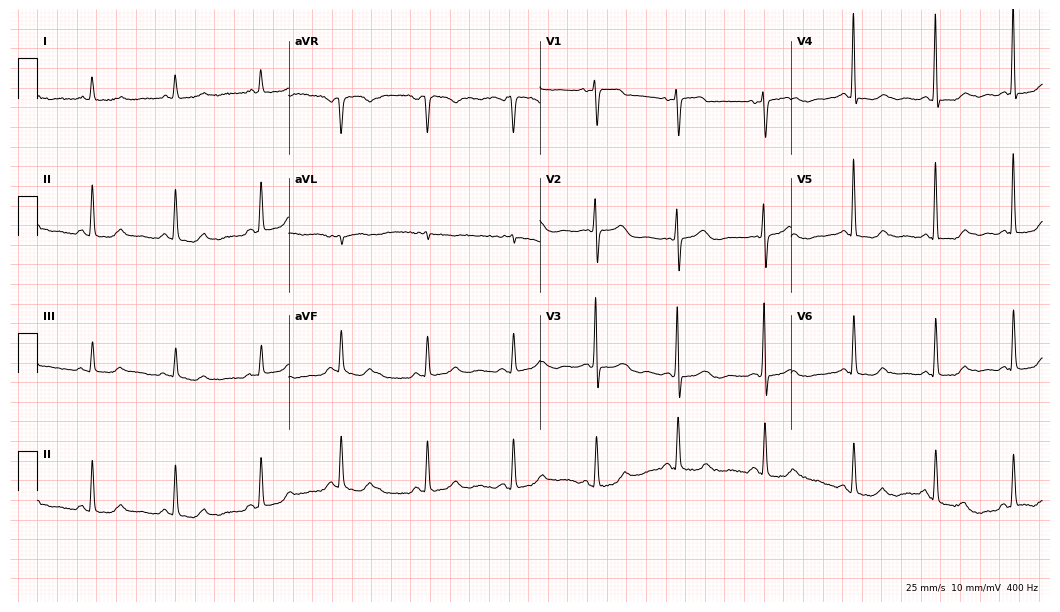
ECG — a woman, 76 years old. Screened for six findings — first-degree AV block, right bundle branch block (RBBB), left bundle branch block (LBBB), sinus bradycardia, atrial fibrillation (AF), sinus tachycardia — none is recorded. Only these six findings were labelled.